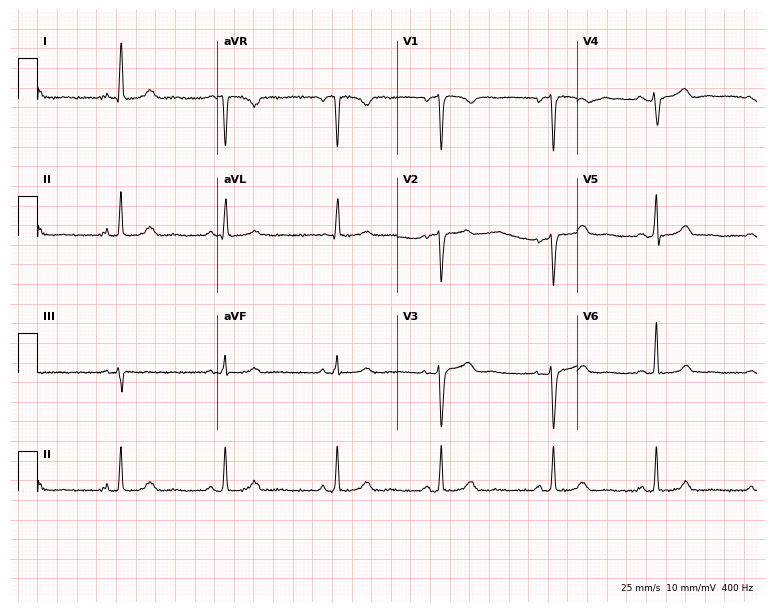
Standard 12-lead ECG recorded from a 50-year-old woman (7.3-second recording at 400 Hz). None of these six findings is recorded: first-degree AV block, right bundle branch block, left bundle branch block, sinus bradycardia, atrial fibrillation, sinus tachycardia.